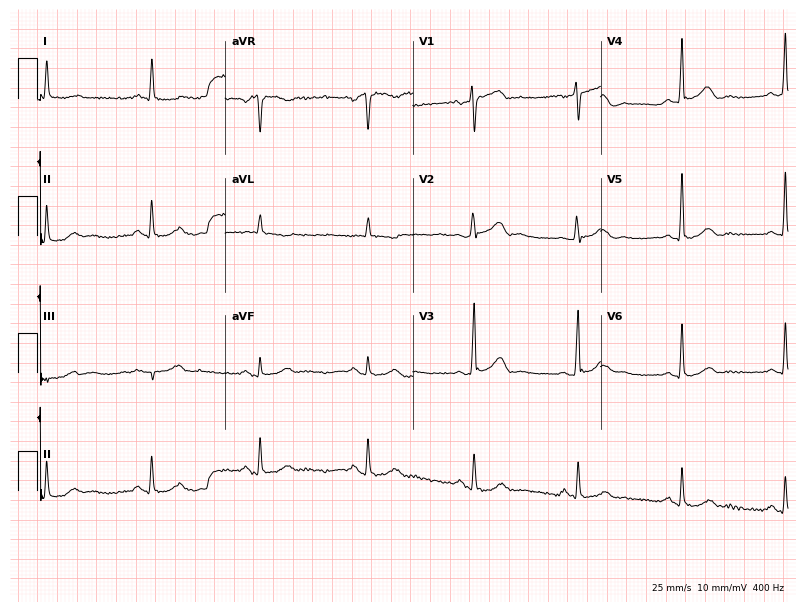
ECG — a 68-year-old male. Screened for six findings — first-degree AV block, right bundle branch block, left bundle branch block, sinus bradycardia, atrial fibrillation, sinus tachycardia — none is recorded.